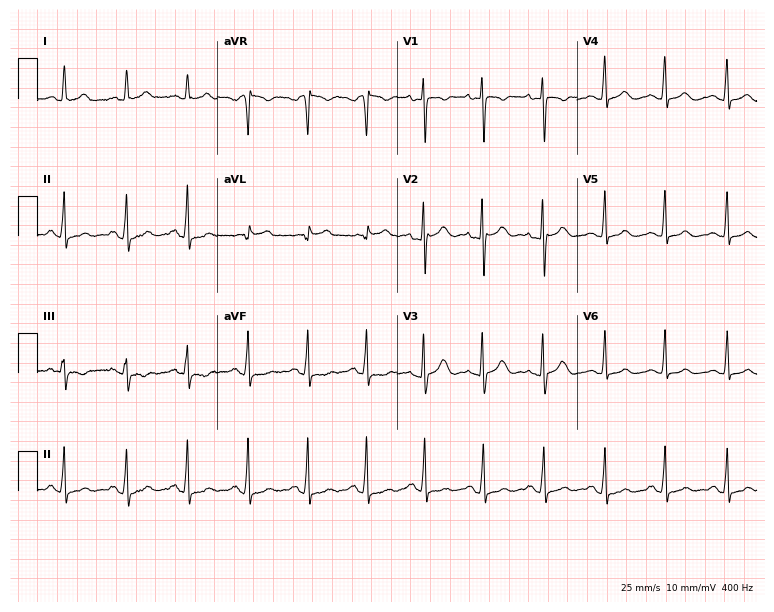
ECG — a woman, 20 years old. Labelled as a normal ECG.